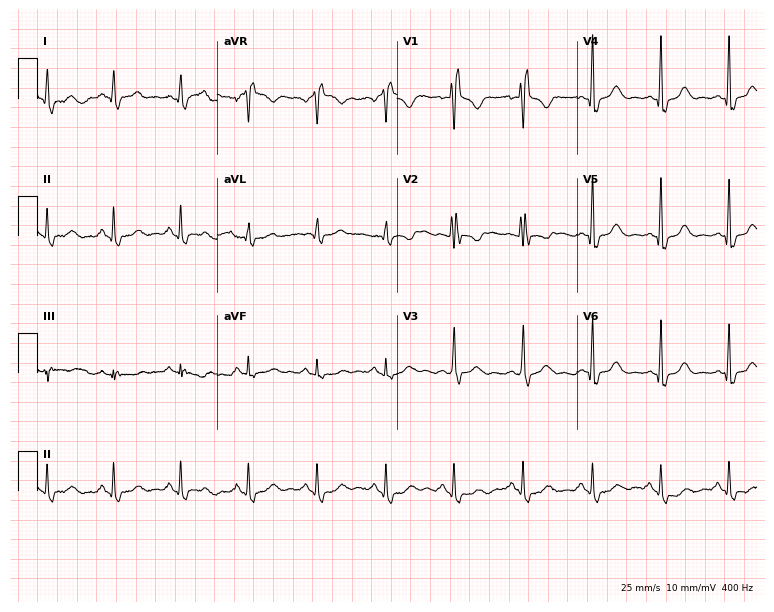
12-lead ECG from a 41-year-old female. No first-degree AV block, right bundle branch block (RBBB), left bundle branch block (LBBB), sinus bradycardia, atrial fibrillation (AF) or sinus tachycardia recorded for this tracing. Findings outside these six are not listed.